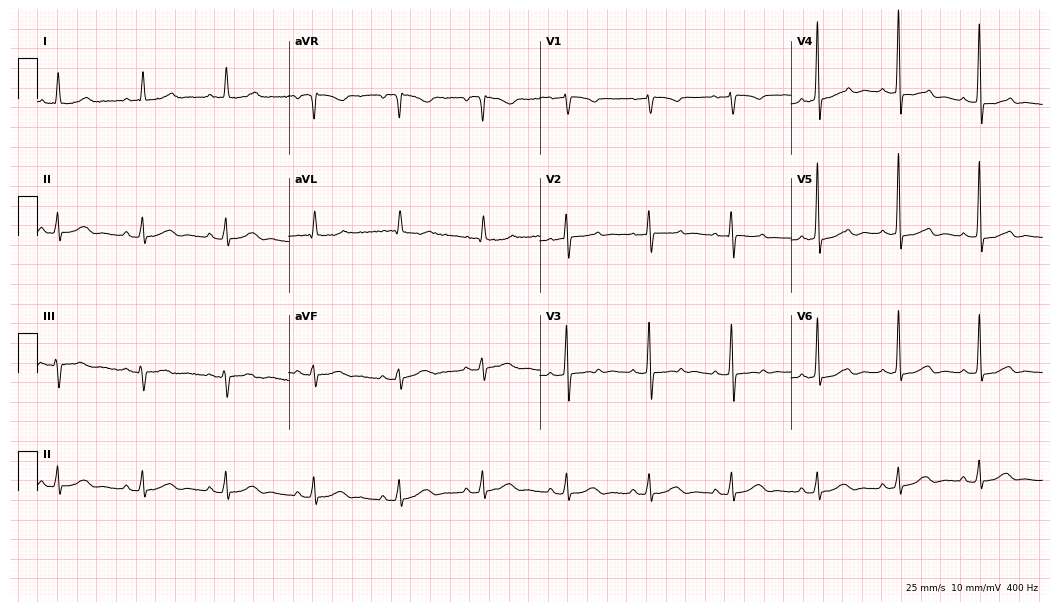
12-lead ECG from a 67-year-old female patient. Screened for six findings — first-degree AV block, right bundle branch block, left bundle branch block, sinus bradycardia, atrial fibrillation, sinus tachycardia — none is recorded.